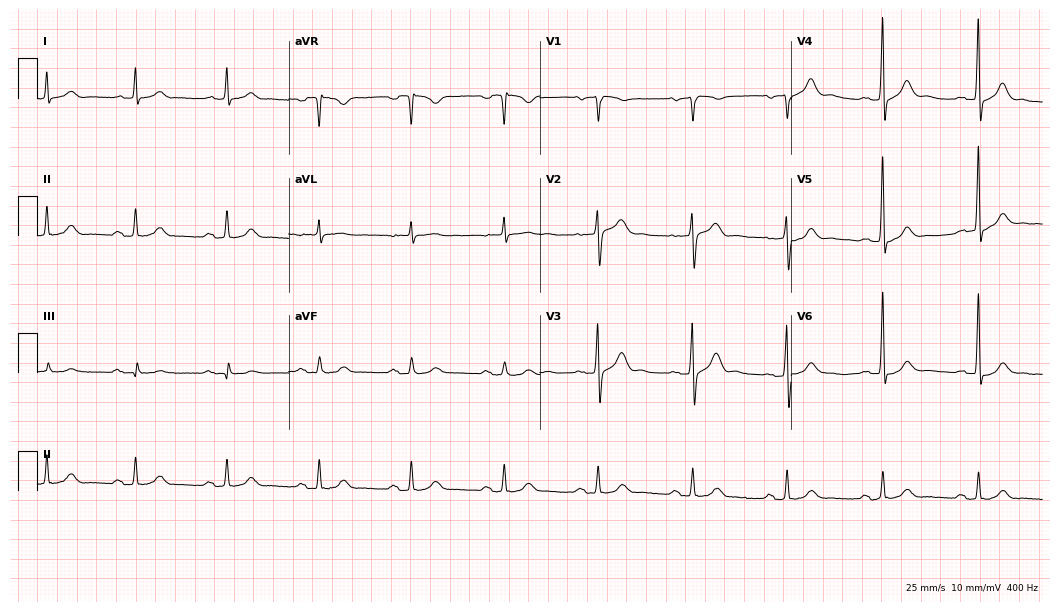
12-lead ECG from a male patient, 73 years old. Labelled as a normal ECG.